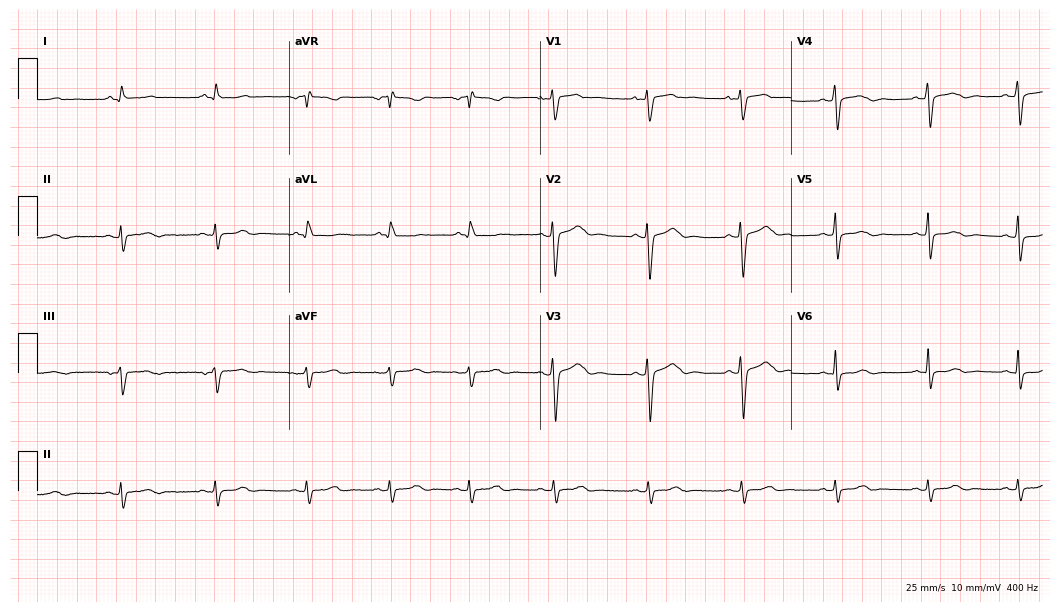
ECG (10.2-second recording at 400 Hz) — a female patient, 25 years old. Screened for six findings — first-degree AV block, right bundle branch block (RBBB), left bundle branch block (LBBB), sinus bradycardia, atrial fibrillation (AF), sinus tachycardia — none is recorded. Only these six findings were labelled.